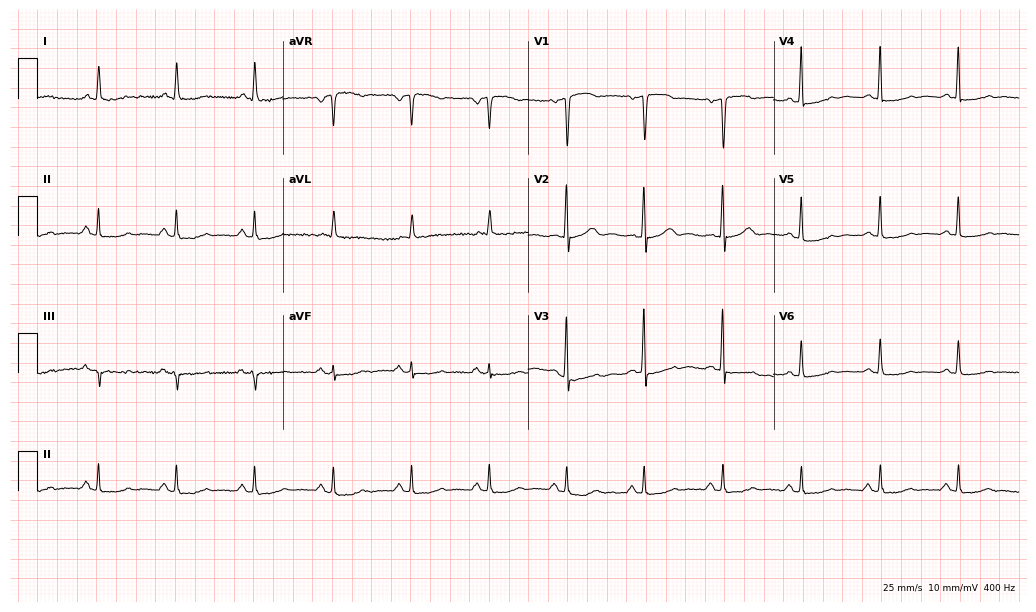
12-lead ECG from a female, 80 years old. No first-degree AV block, right bundle branch block, left bundle branch block, sinus bradycardia, atrial fibrillation or sinus tachycardia recorded for this tracing.